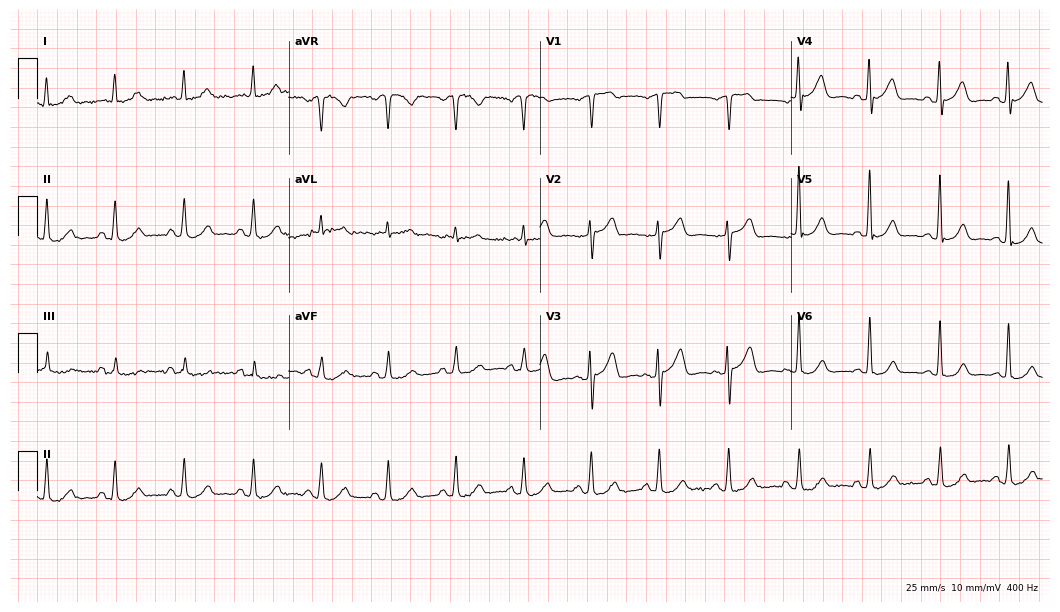
ECG (10.2-second recording at 400 Hz) — a female, 77 years old. Labelled as a normal ECG.